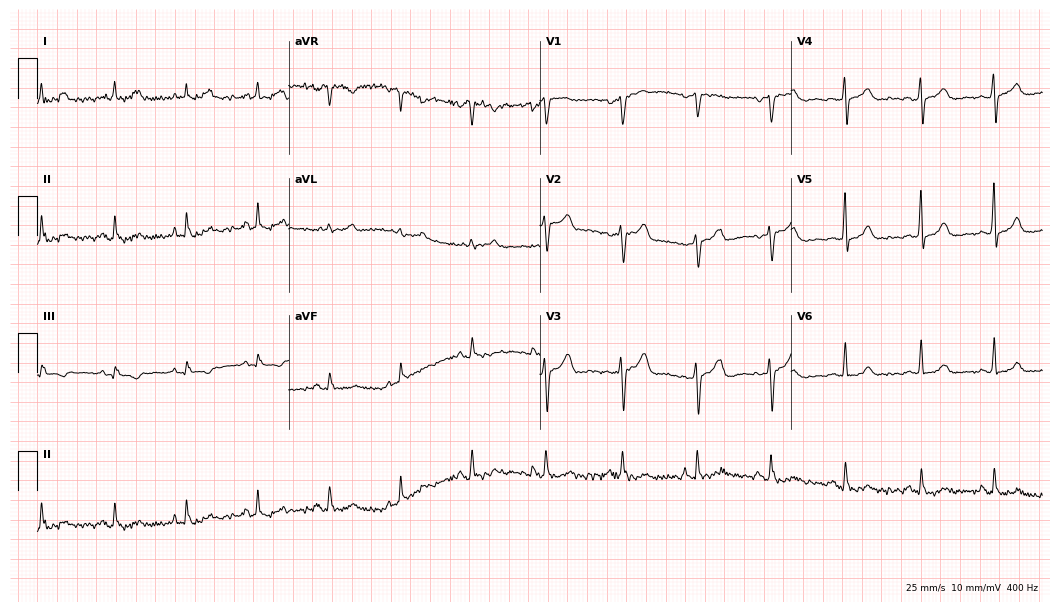
Electrocardiogram (10.2-second recording at 400 Hz), a female, 50 years old. Of the six screened findings (first-degree AV block, right bundle branch block (RBBB), left bundle branch block (LBBB), sinus bradycardia, atrial fibrillation (AF), sinus tachycardia), none is recorded. Findings outside these six are not listed.